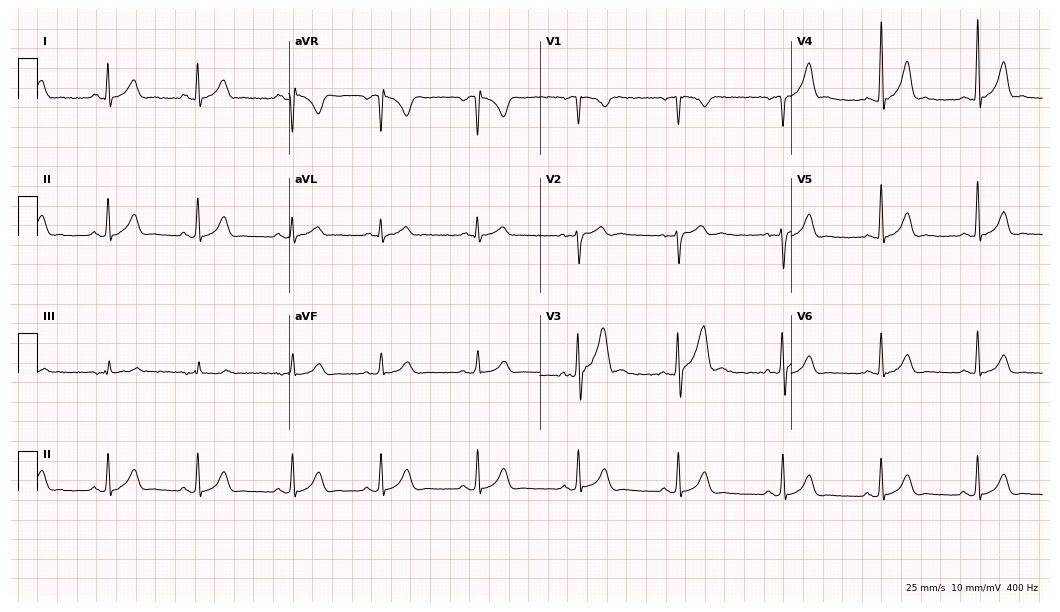
Resting 12-lead electrocardiogram (10.2-second recording at 400 Hz). Patient: a 37-year-old male. Read as a normal ECG.